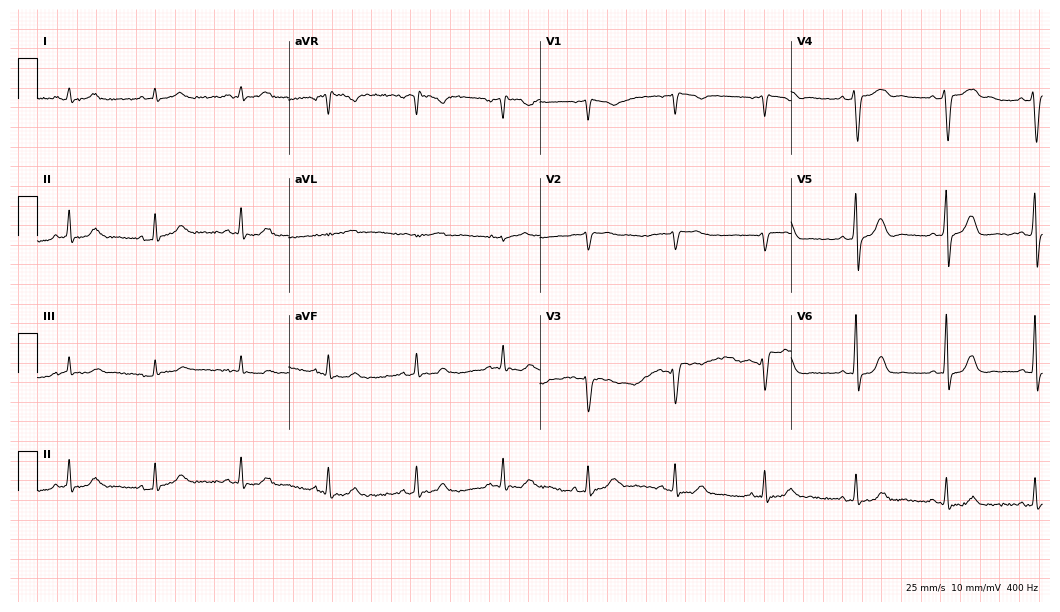
12-lead ECG from a female, 67 years old (10.2-second recording at 400 Hz). No first-degree AV block, right bundle branch block (RBBB), left bundle branch block (LBBB), sinus bradycardia, atrial fibrillation (AF) or sinus tachycardia recorded for this tracing. Findings outside these six are not listed.